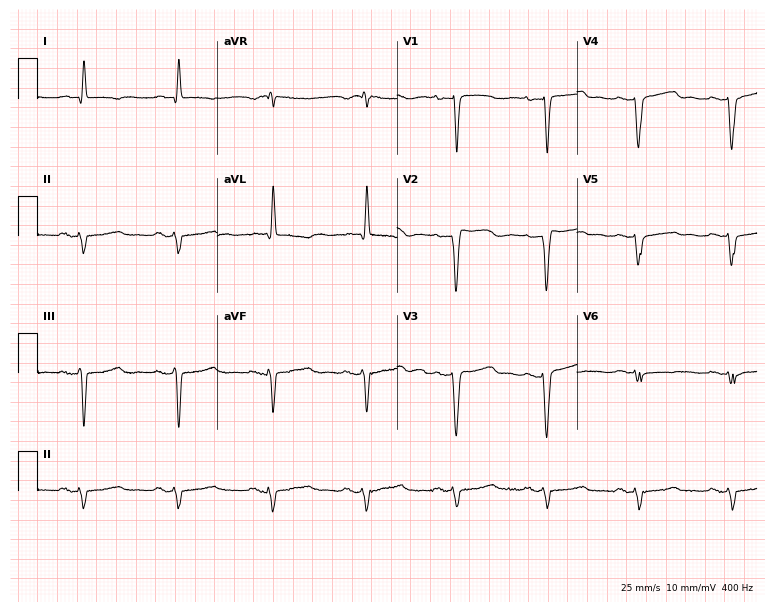
Electrocardiogram, a female, 62 years old. Of the six screened findings (first-degree AV block, right bundle branch block, left bundle branch block, sinus bradycardia, atrial fibrillation, sinus tachycardia), none is recorded.